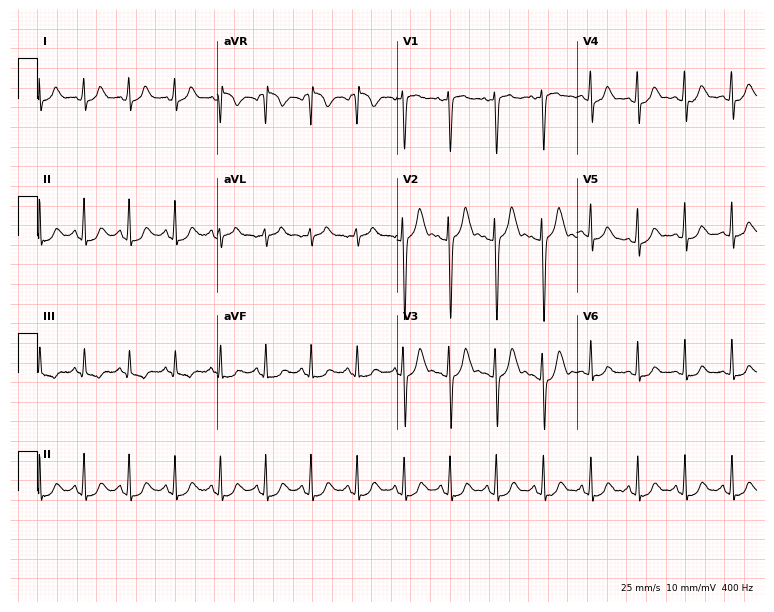
Resting 12-lead electrocardiogram. Patient: a woman, 19 years old. The tracing shows sinus tachycardia (a sinus rate of 100 beats per minute or more).